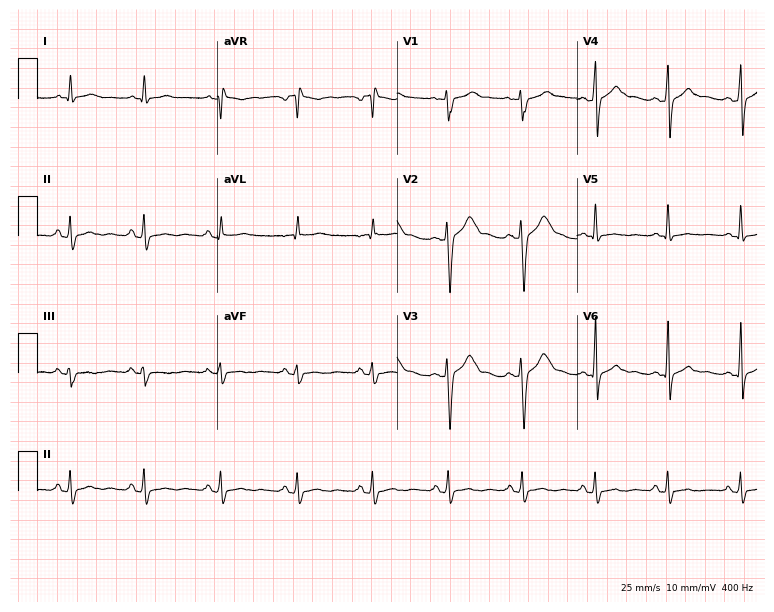
Resting 12-lead electrocardiogram. Patient: a male, 42 years old. Read as a normal ECG.